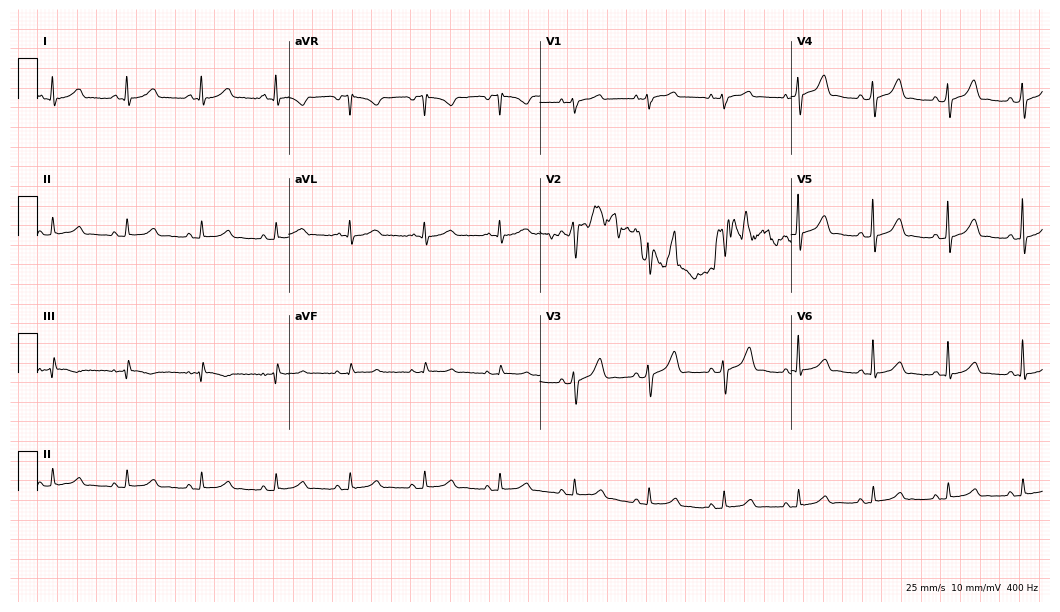
Electrocardiogram (10.2-second recording at 400 Hz), a male patient, 55 years old. Overall reading on record: normal ECG.